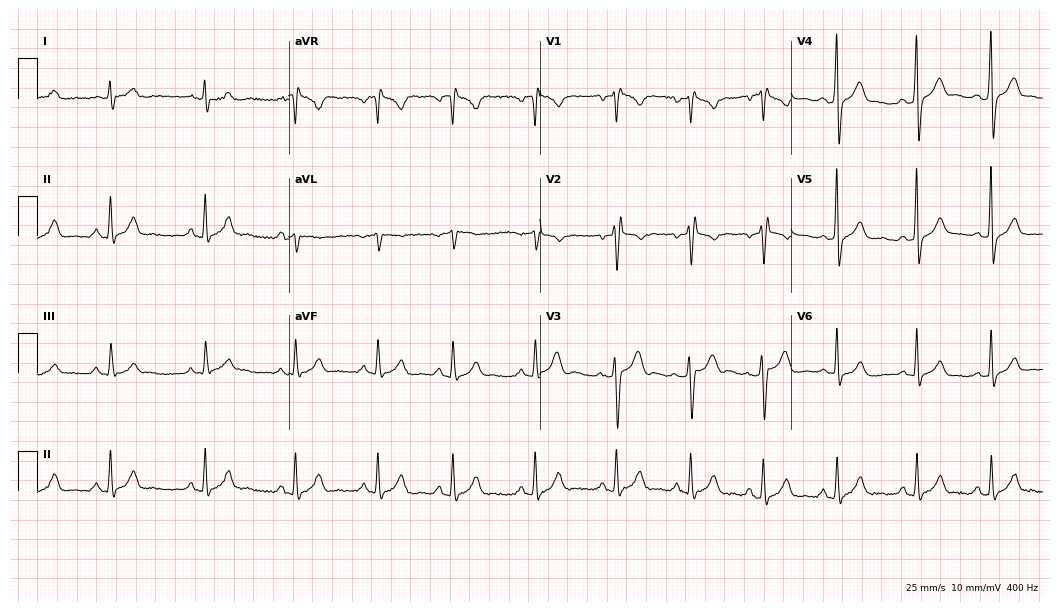
Electrocardiogram, a male, 23 years old. Of the six screened findings (first-degree AV block, right bundle branch block, left bundle branch block, sinus bradycardia, atrial fibrillation, sinus tachycardia), none is recorded. Findings outside these six are not listed.